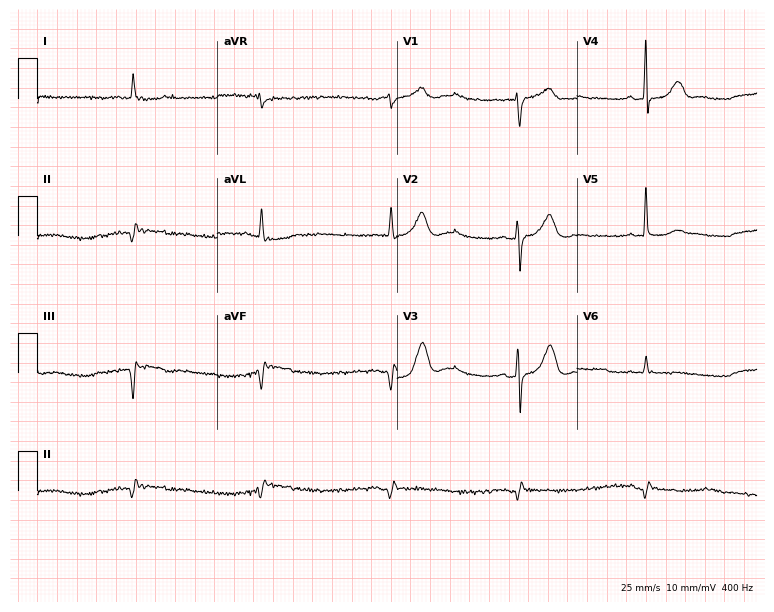
Standard 12-lead ECG recorded from a 79-year-old male. None of these six findings is recorded: first-degree AV block, right bundle branch block, left bundle branch block, sinus bradycardia, atrial fibrillation, sinus tachycardia. Findings outside these six are not listed.